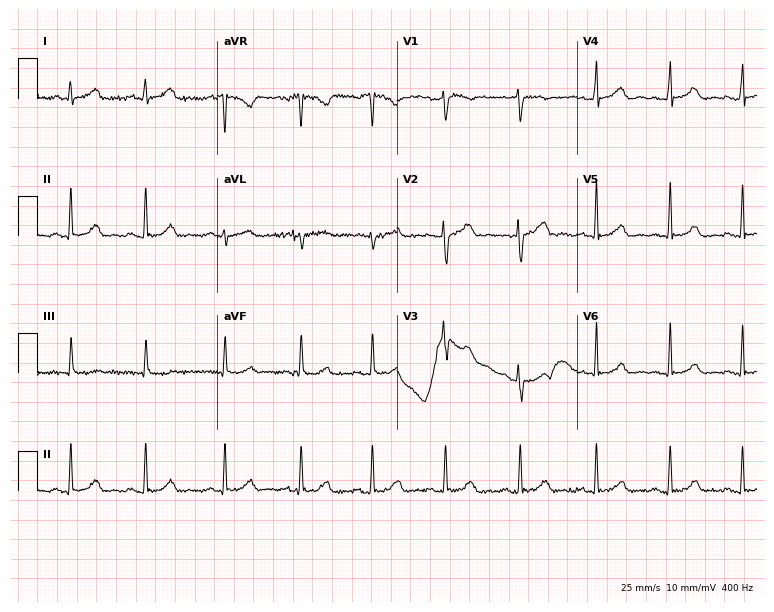
Standard 12-lead ECG recorded from a female, 24 years old (7.3-second recording at 400 Hz). Read as a normal ECG.